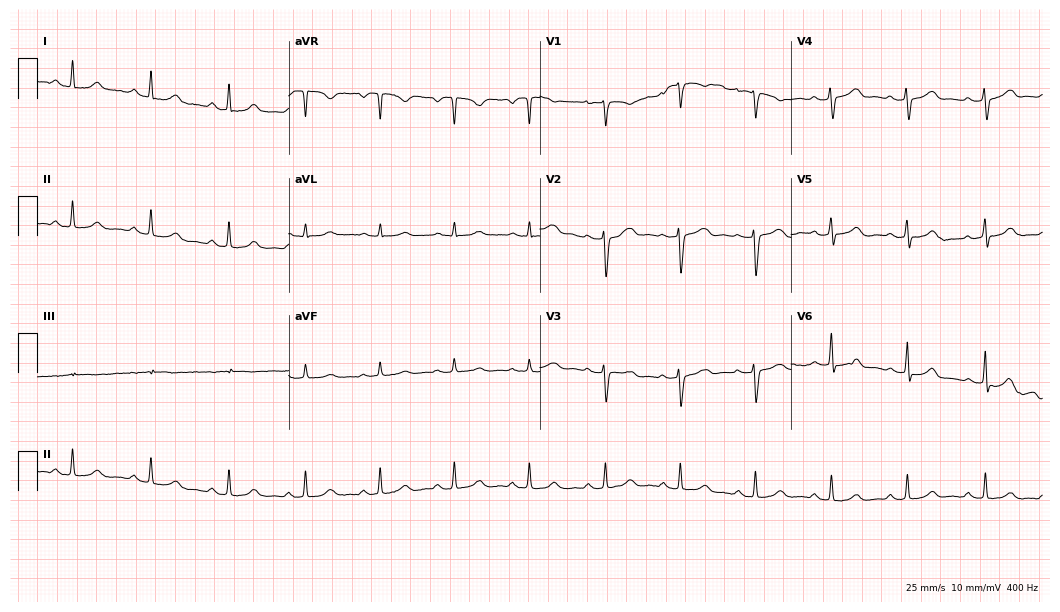
12-lead ECG (10.2-second recording at 400 Hz) from a 29-year-old woman. Labelled as a normal ECG.